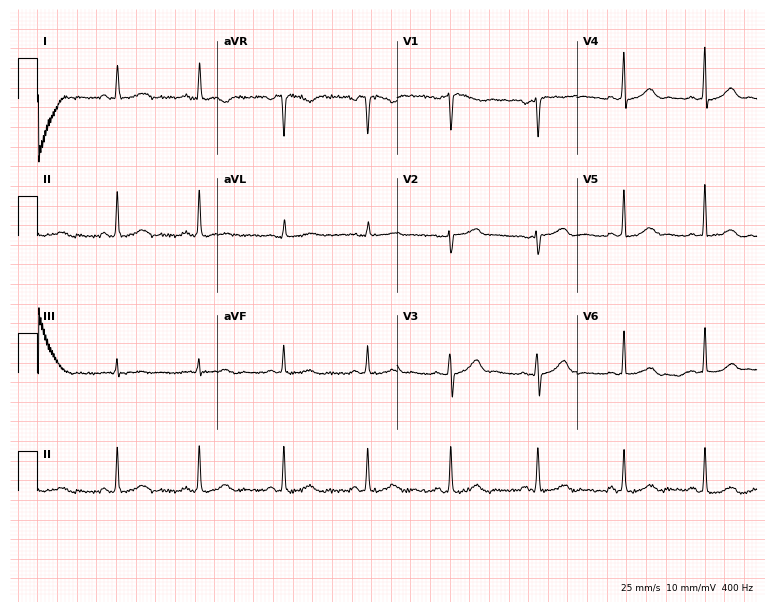
12-lead ECG from a 46-year-old woman. Screened for six findings — first-degree AV block, right bundle branch block (RBBB), left bundle branch block (LBBB), sinus bradycardia, atrial fibrillation (AF), sinus tachycardia — none is recorded.